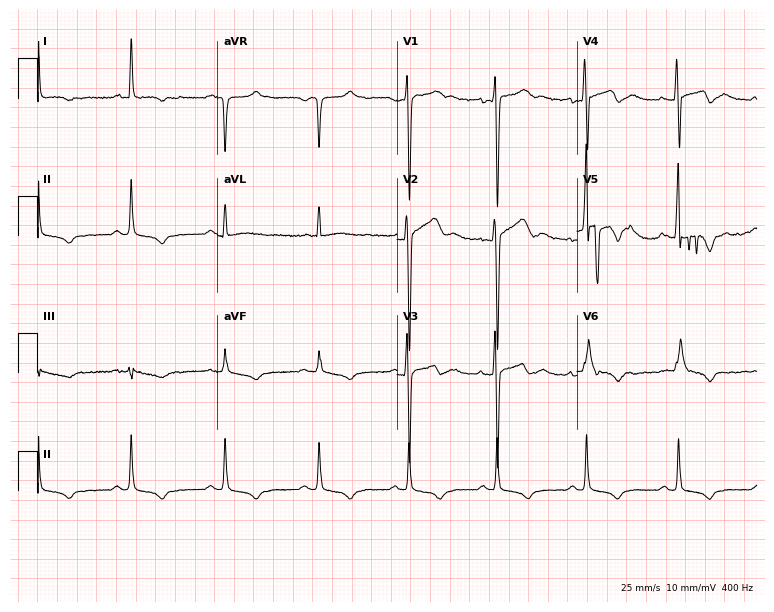
ECG (7.3-second recording at 400 Hz) — a man, 37 years old. Screened for six findings — first-degree AV block, right bundle branch block (RBBB), left bundle branch block (LBBB), sinus bradycardia, atrial fibrillation (AF), sinus tachycardia — none is recorded. Findings outside these six are not listed.